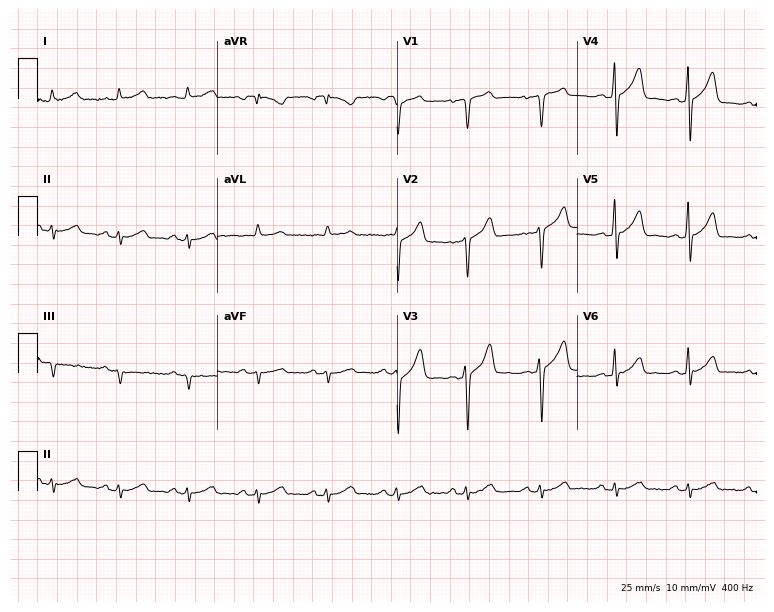
Electrocardiogram (7.3-second recording at 400 Hz), a male patient, 65 years old. Of the six screened findings (first-degree AV block, right bundle branch block, left bundle branch block, sinus bradycardia, atrial fibrillation, sinus tachycardia), none is recorded.